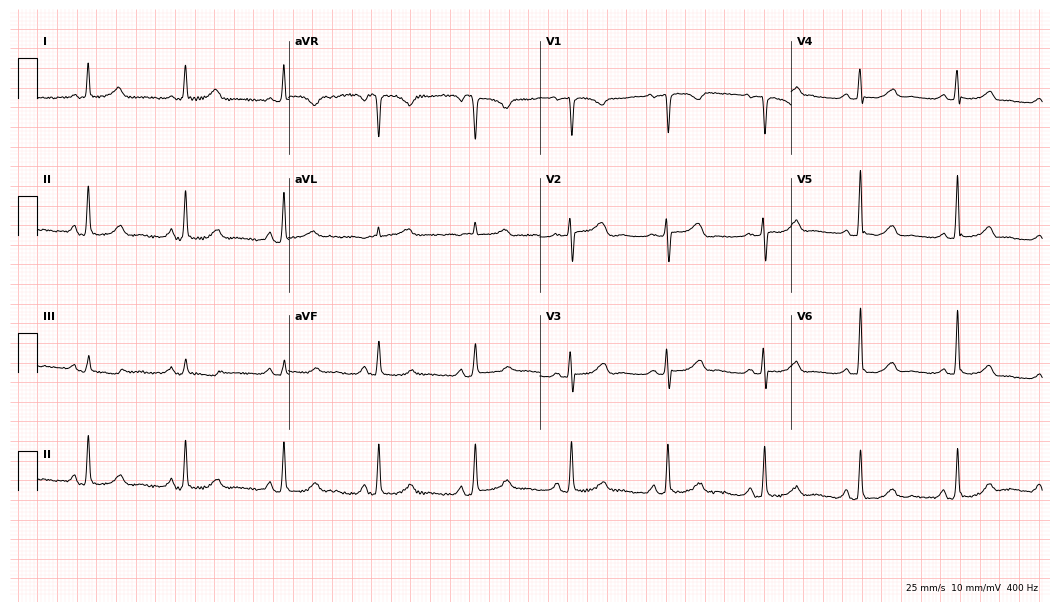
Standard 12-lead ECG recorded from a 70-year-old female patient. Read as a normal ECG.